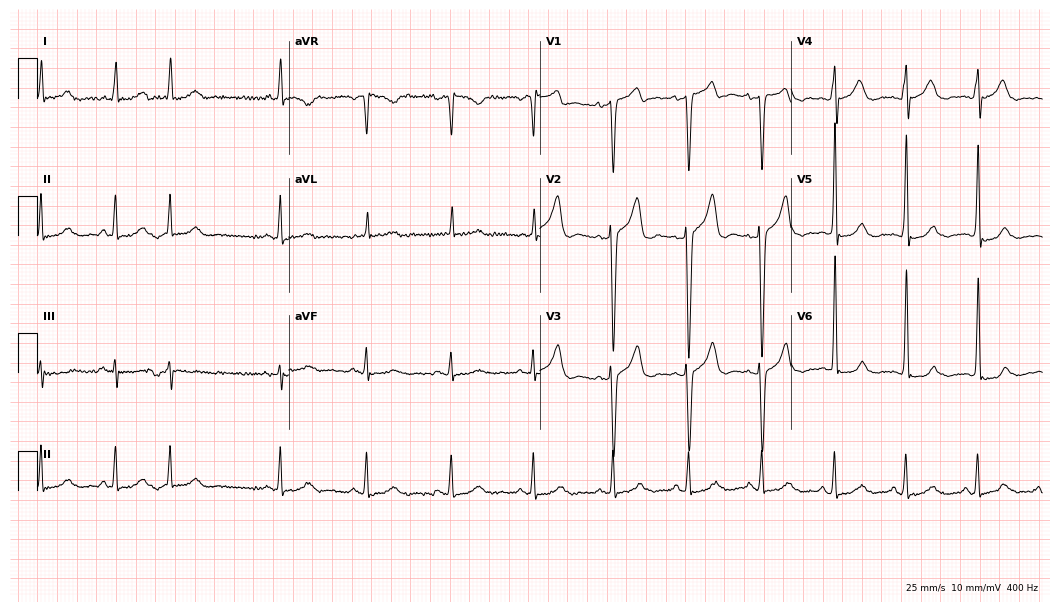
12-lead ECG from a male patient, 61 years old. Screened for six findings — first-degree AV block, right bundle branch block, left bundle branch block, sinus bradycardia, atrial fibrillation, sinus tachycardia — none is recorded.